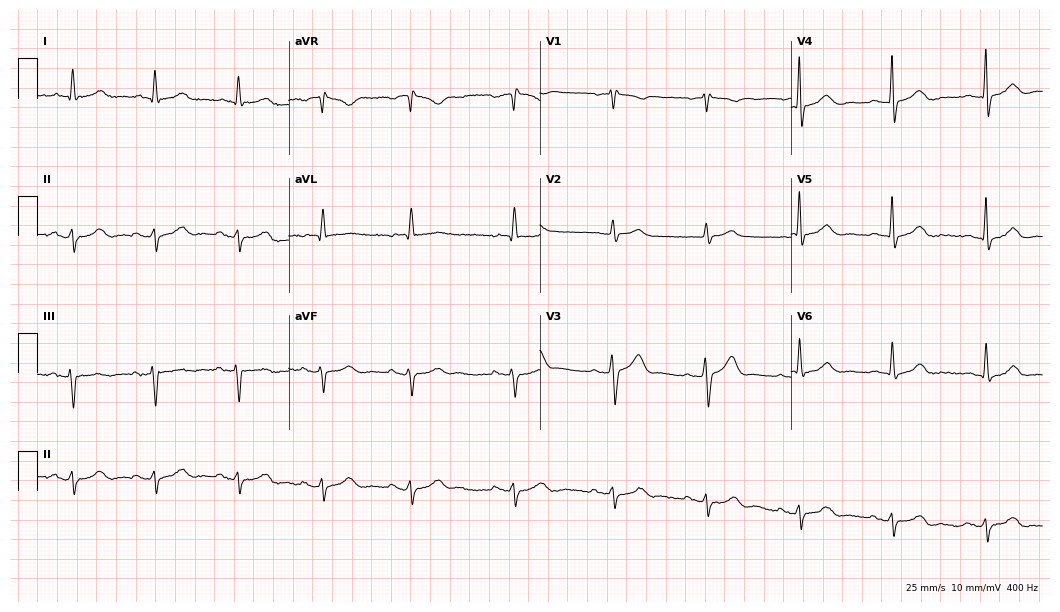
Resting 12-lead electrocardiogram (10.2-second recording at 400 Hz). Patient: a 64-year-old male. None of these six findings is recorded: first-degree AV block, right bundle branch block (RBBB), left bundle branch block (LBBB), sinus bradycardia, atrial fibrillation (AF), sinus tachycardia. Findings outside these six are not listed.